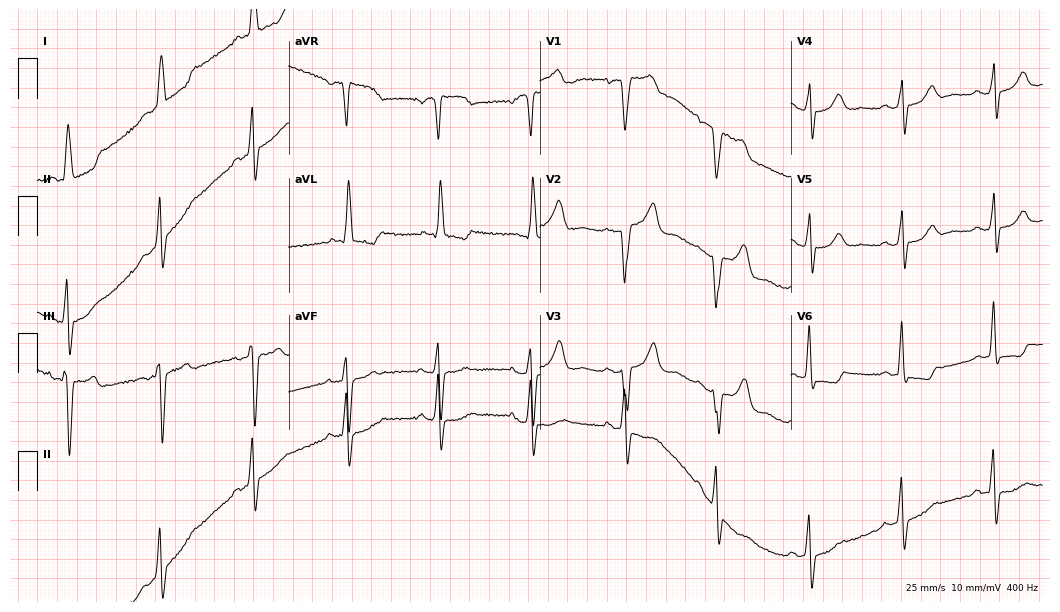
Resting 12-lead electrocardiogram (10.2-second recording at 400 Hz). Patient: a female, 88 years old. The tracing shows left bundle branch block (LBBB).